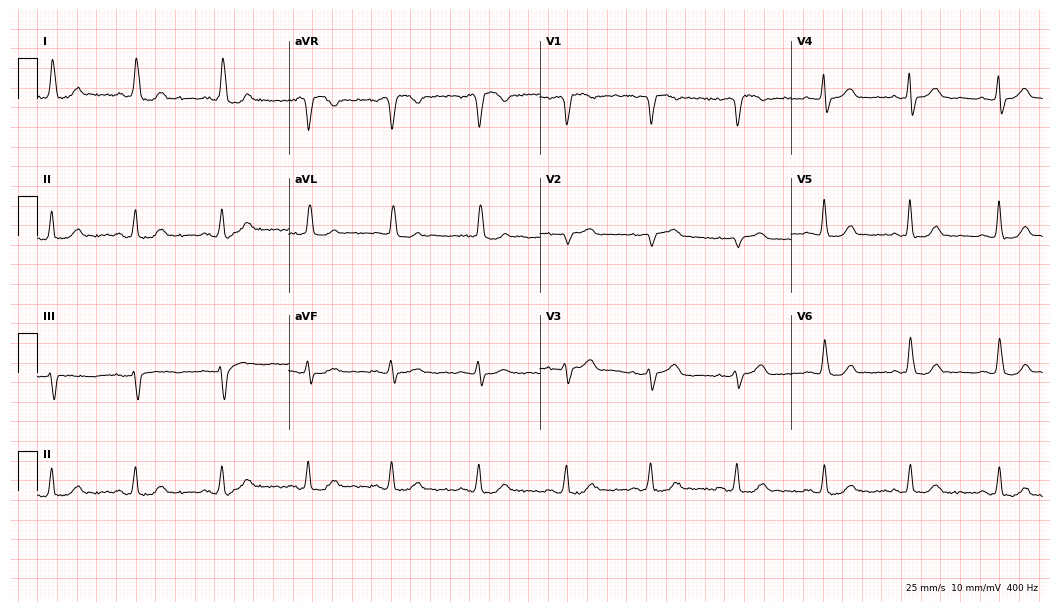
12-lead ECG (10.2-second recording at 400 Hz) from a 62-year-old man. Screened for six findings — first-degree AV block, right bundle branch block, left bundle branch block, sinus bradycardia, atrial fibrillation, sinus tachycardia — none is recorded.